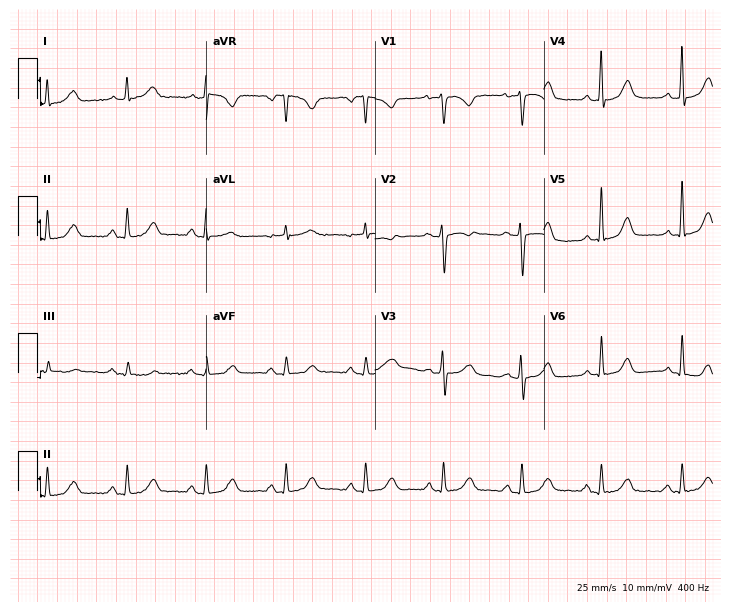
12-lead ECG from a 60-year-old female. Recorded interpretation: within normal limits.